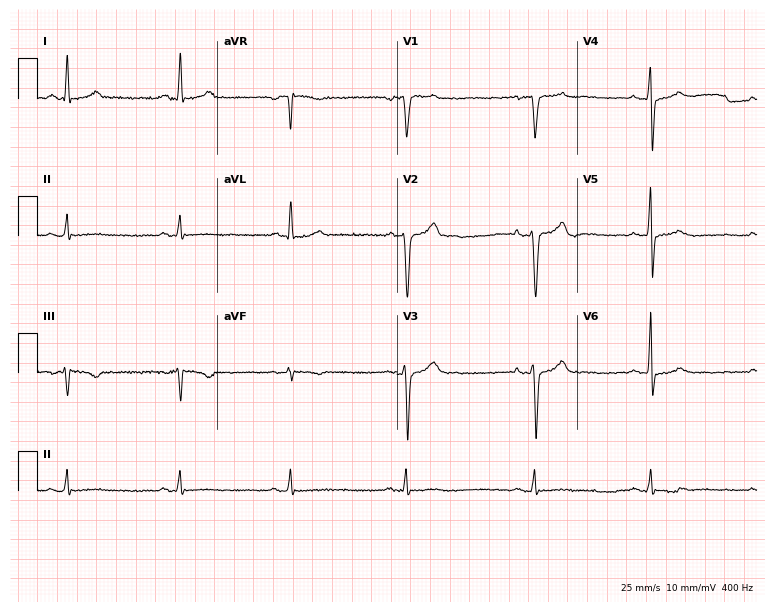
ECG — a 50-year-old man. Screened for six findings — first-degree AV block, right bundle branch block, left bundle branch block, sinus bradycardia, atrial fibrillation, sinus tachycardia — none is recorded.